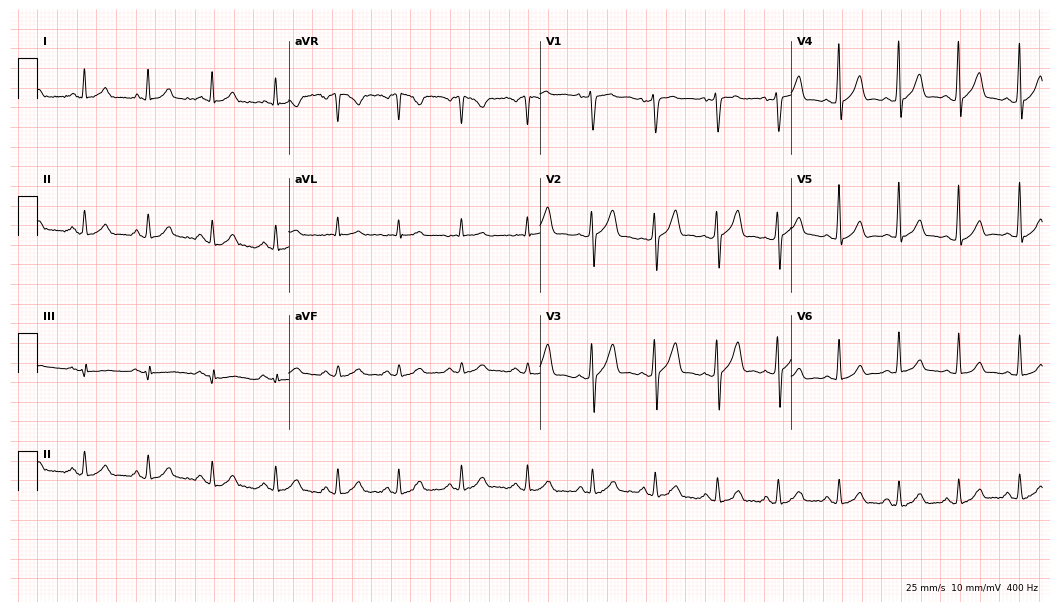
Electrocardiogram (10.2-second recording at 400 Hz), a male, 25 years old. Overall reading on record: normal ECG.